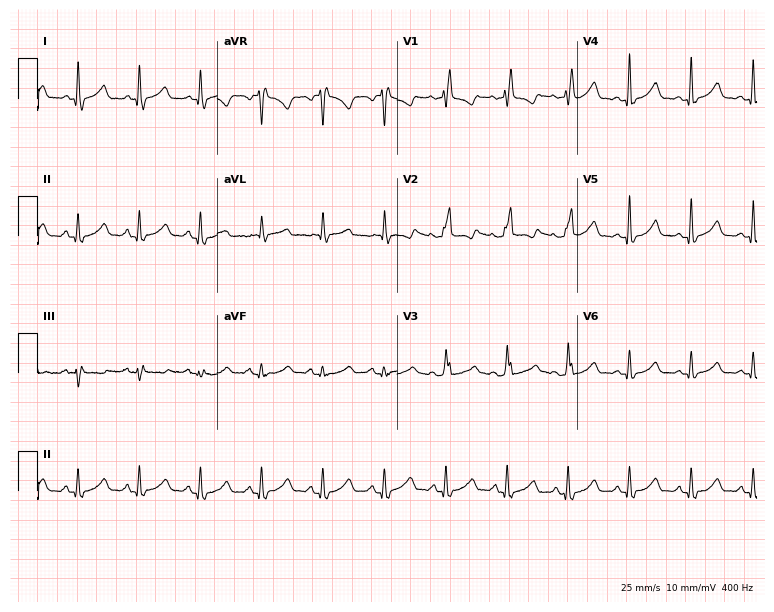
Electrocardiogram (7.3-second recording at 400 Hz), a female, 73 years old. Of the six screened findings (first-degree AV block, right bundle branch block, left bundle branch block, sinus bradycardia, atrial fibrillation, sinus tachycardia), none is recorded.